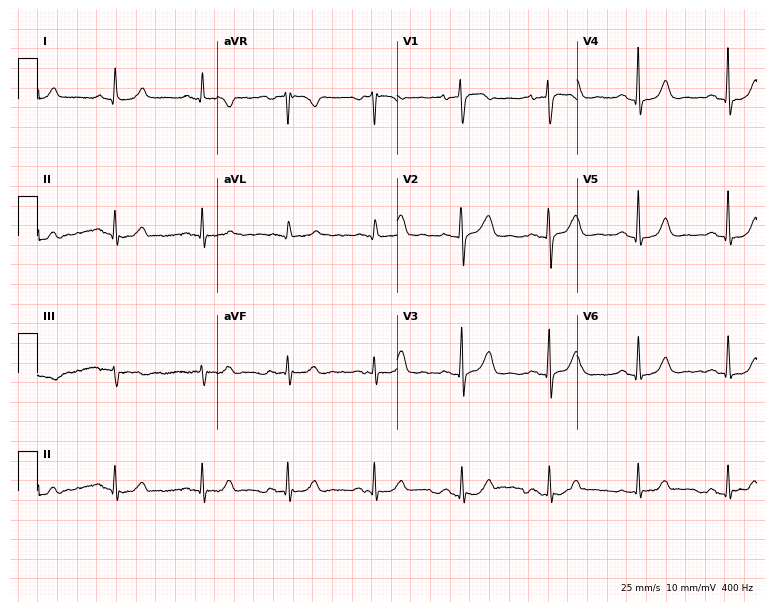
Resting 12-lead electrocardiogram. Patient: a woman, 65 years old. Read as a normal ECG.